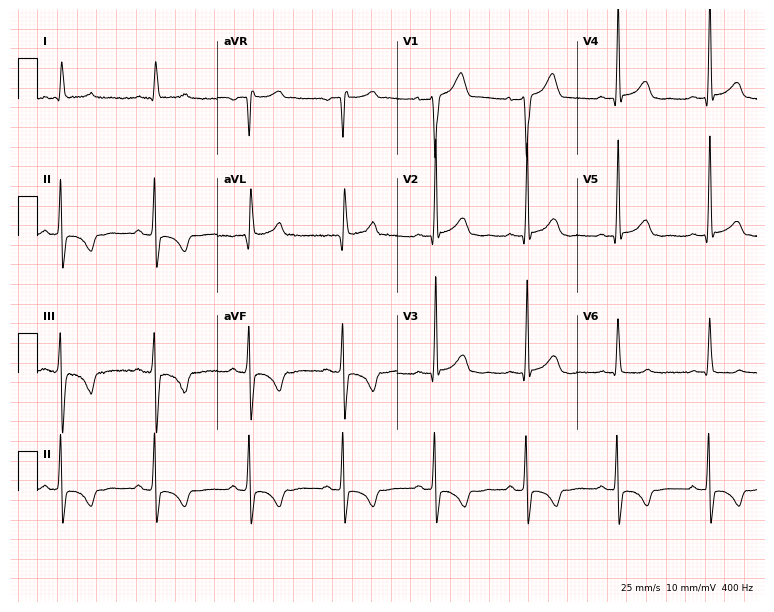
Resting 12-lead electrocardiogram (7.3-second recording at 400 Hz). Patient: a 69-year-old male. None of these six findings is recorded: first-degree AV block, right bundle branch block, left bundle branch block, sinus bradycardia, atrial fibrillation, sinus tachycardia.